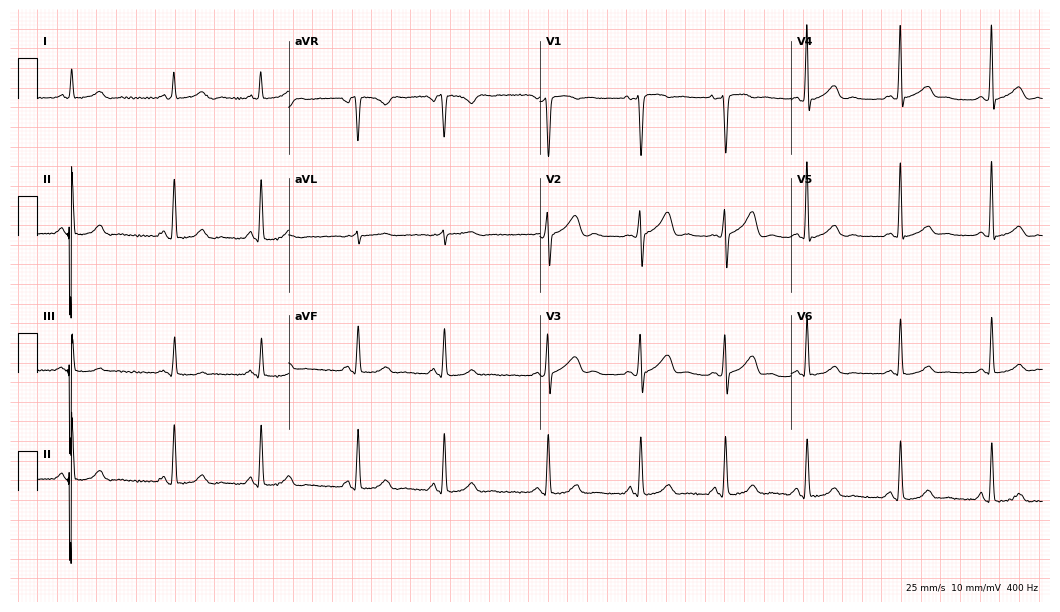
Electrocardiogram (10.2-second recording at 400 Hz), a 53-year-old man. Of the six screened findings (first-degree AV block, right bundle branch block, left bundle branch block, sinus bradycardia, atrial fibrillation, sinus tachycardia), none is recorded.